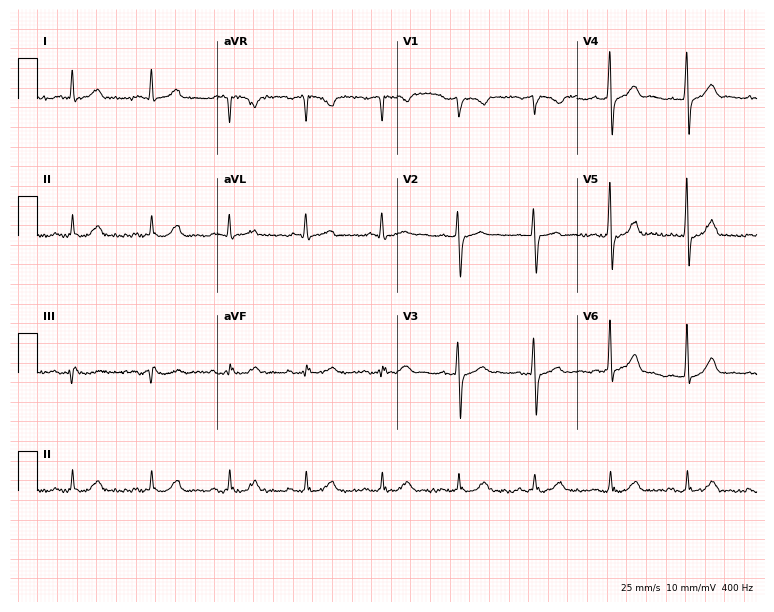
12-lead ECG from a male, 65 years old. Labelled as a normal ECG.